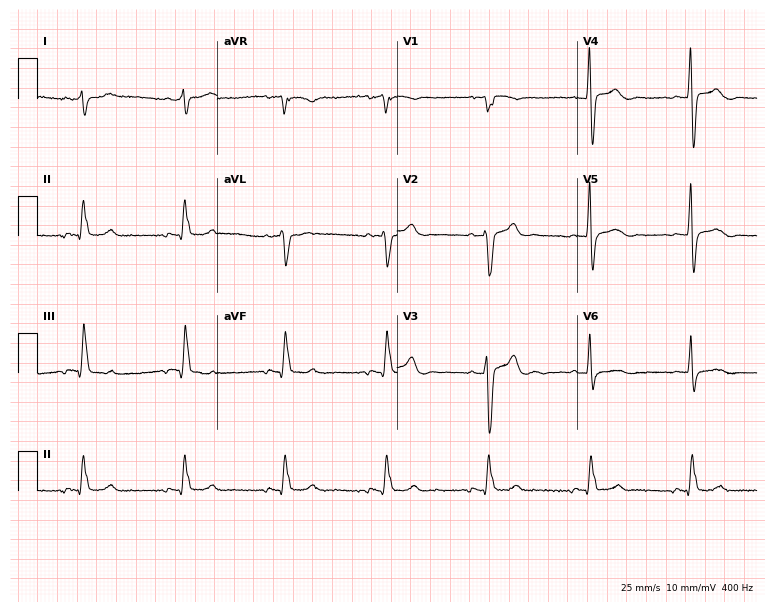
Standard 12-lead ECG recorded from a man, 58 years old. None of these six findings is recorded: first-degree AV block, right bundle branch block (RBBB), left bundle branch block (LBBB), sinus bradycardia, atrial fibrillation (AF), sinus tachycardia.